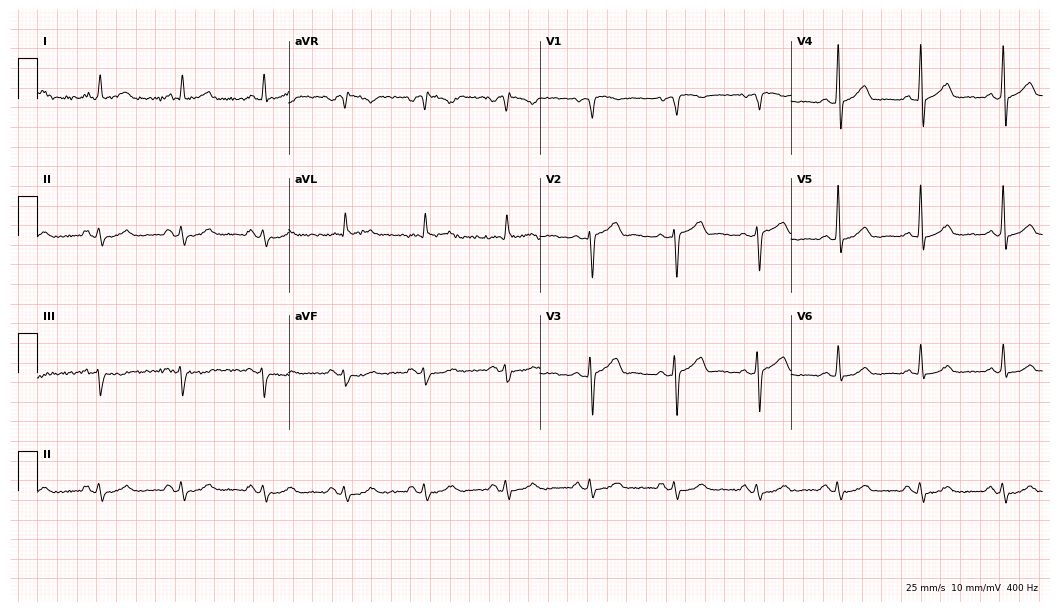
12-lead ECG from a male patient, 68 years old. Labelled as a normal ECG.